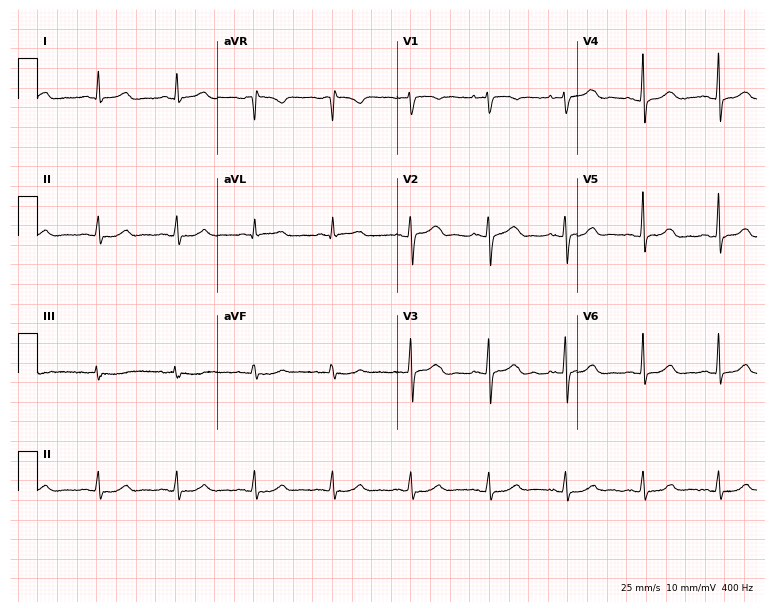
12-lead ECG (7.3-second recording at 400 Hz) from a 54-year-old female. Labelled as a normal ECG.